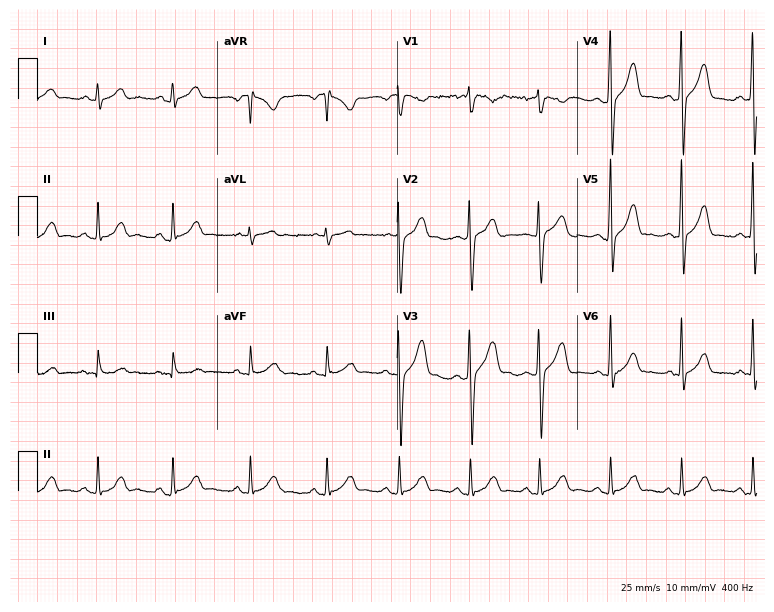
Standard 12-lead ECG recorded from a 34-year-old male. Read as a normal ECG.